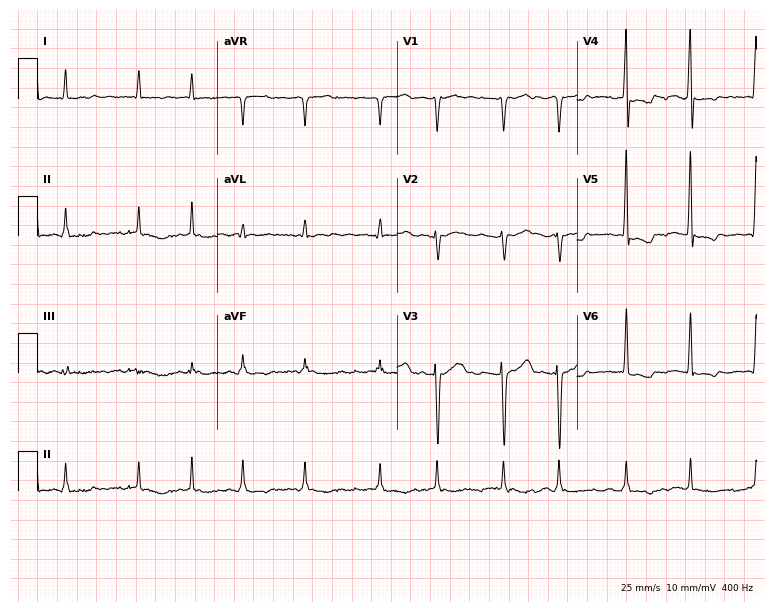
12-lead ECG (7.3-second recording at 400 Hz) from a 53-year-old male patient. Findings include atrial fibrillation.